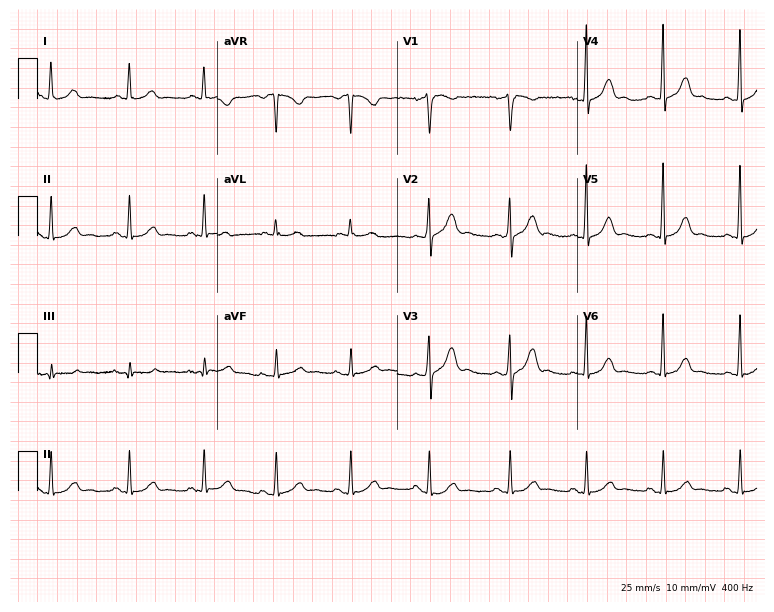
Resting 12-lead electrocardiogram (7.3-second recording at 400 Hz). Patient: a 29-year-old woman. Read as a normal ECG.